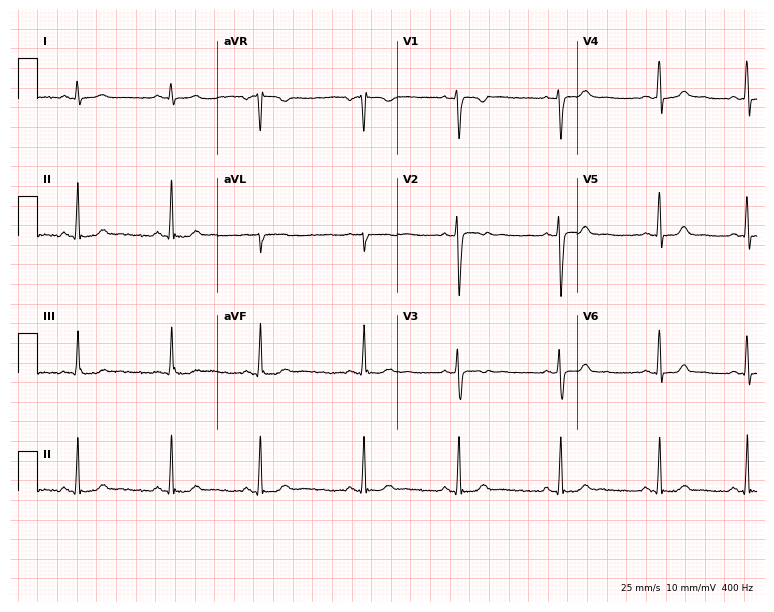
Electrocardiogram, a 19-year-old woman. Of the six screened findings (first-degree AV block, right bundle branch block (RBBB), left bundle branch block (LBBB), sinus bradycardia, atrial fibrillation (AF), sinus tachycardia), none is recorded. Only these six findings were labelled.